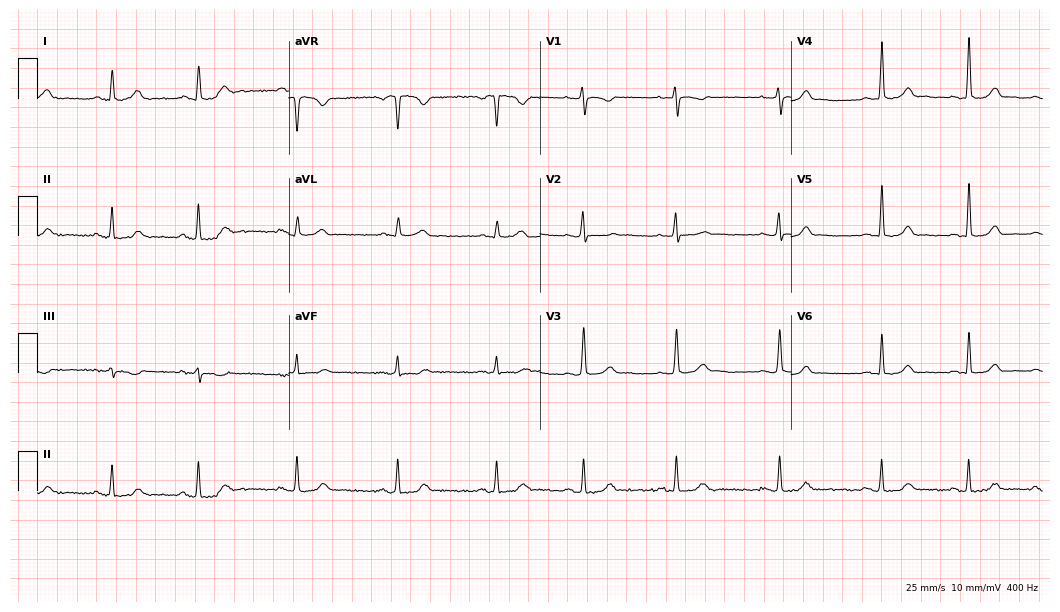
Electrocardiogram, a 30-year-old female. Overall reading on record: normal ECG.